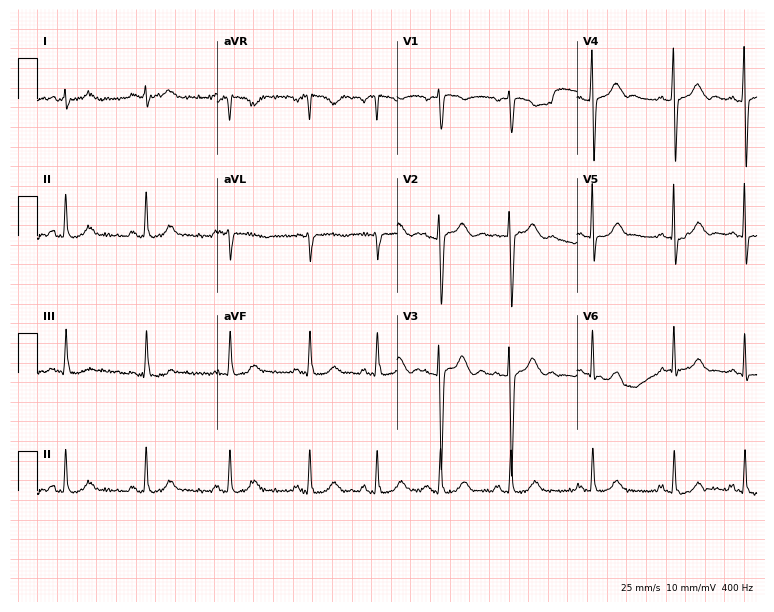
Electrocardiogram (7.3-second recording at 400 Hz), a female, 19 years old. Of the six screened findings (first-degree AV block, right bundle branch block, left bundle branch block, sinus bradycardia, atrial fibrillation, sinus tachycardia), none is recorded.